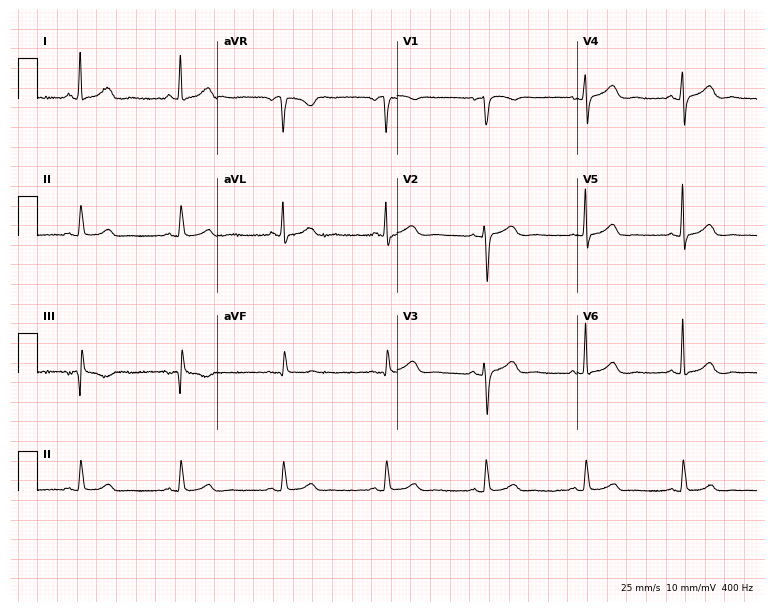
Electrocardiogram (7.3-second recording at 400 Hz), a female, 54 years old. Overall reading on record: normal ECG.